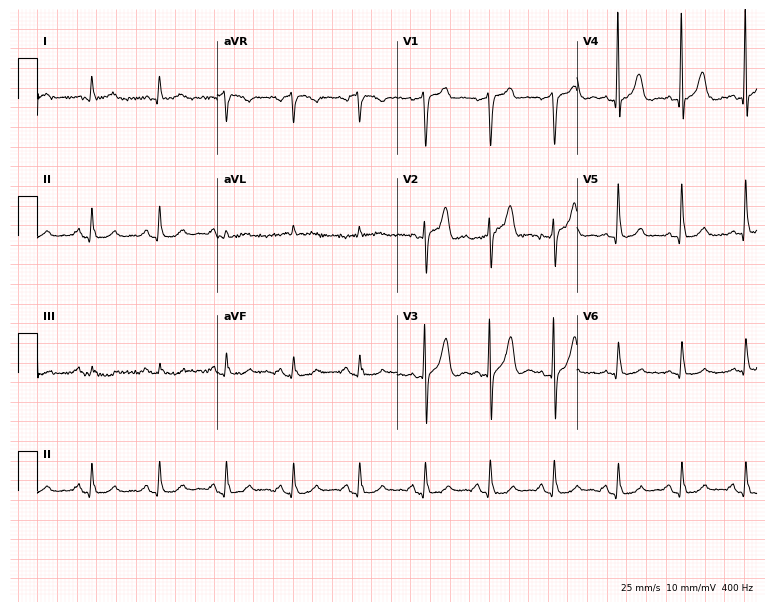
12-lead ECG from a man, 67 years old (7.3-second recording at 400 Hz). No first-degree AV block, right bundle branch block, left bundle branch block, sinus bradycardia, atrial fibrillation or sinus tachycardia recorded for this tracing.